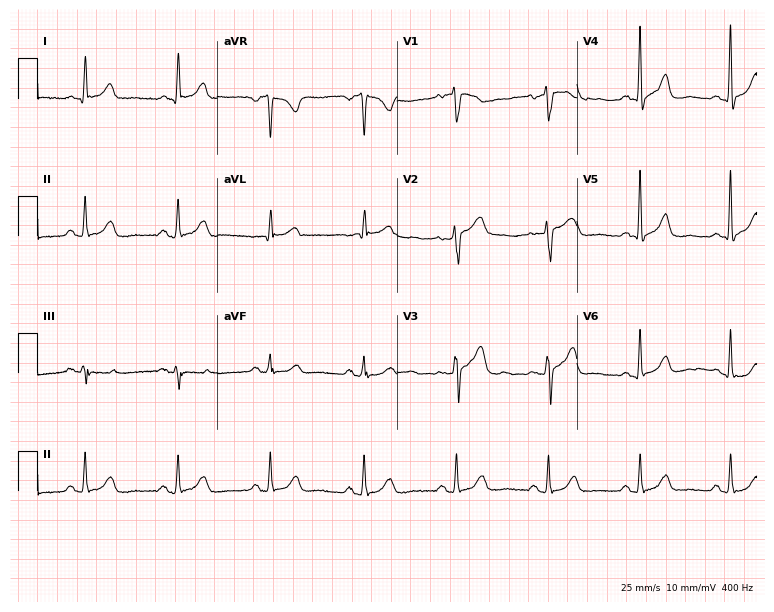
Electrocardiogram (7.3-second recording at 400 Hz), a 50-year-old female patient. Overall reading on record: normal ECG.